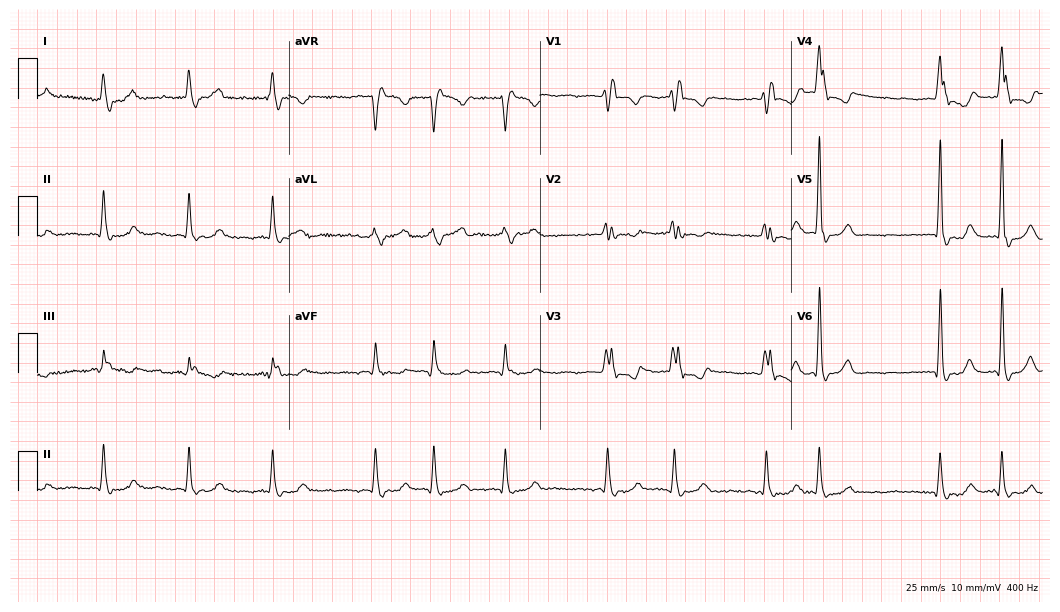
Electrocardiogram, an 81-year-old female. Interpretation includes right bundle branch block (RBBB).